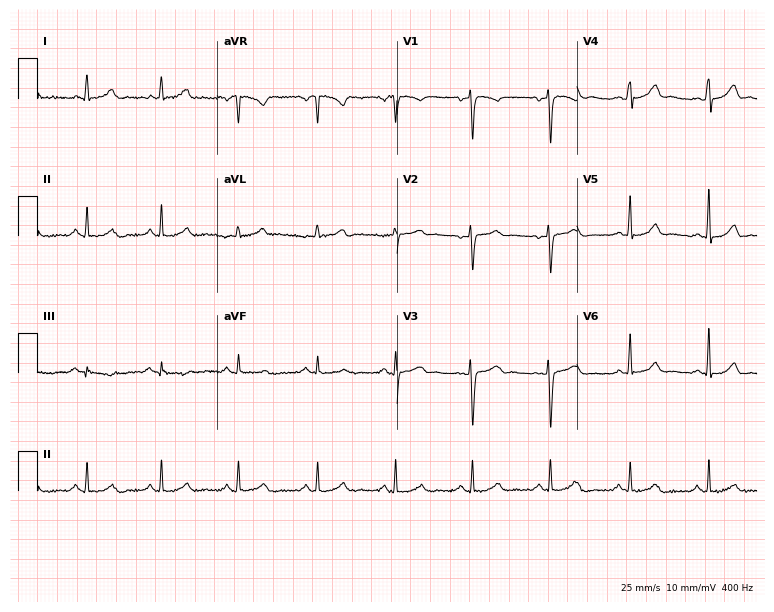
12-lead ECG from a 43-year-old female patient. No first-degree AV block, right bundle branch block (RBBB), left bundle branch block (LBBB), sinus bradycardia, atrial fibrillation (AF) or sinus tachycardia recorded for this tracing.